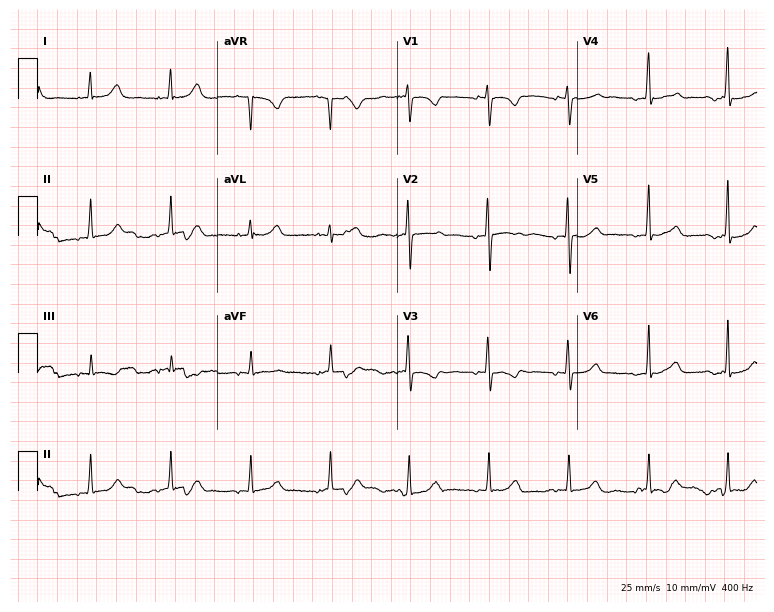
12-lead ECG (7.3-second recording at 400 Hz) from a 34-year-old female. Labelled as a normal ECG.